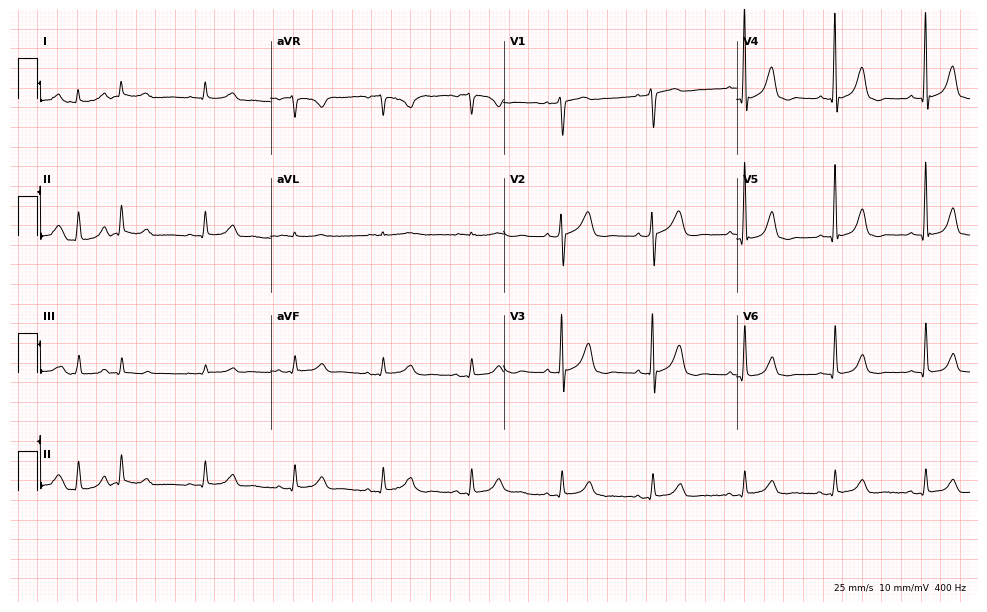
Resting 12-lead electrocardiogram. Patient: a female, 77 years old. None of these six findings is recorded: first-degree AV block, right bundle branch block (RBBB), left bundle branch block (LBBB), sinus bradycardia, atrial fibrillation (AF), sinus tachycardia.